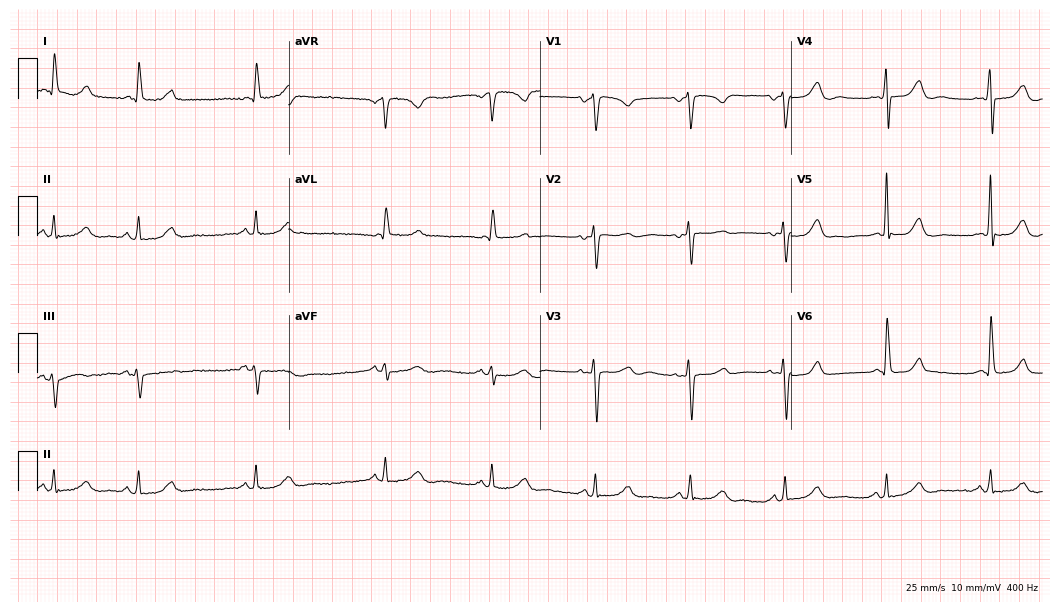
12-lead ECG (10.2-second recording at 400 Hz) from a 68-year-old female. Labelled as a normal ECG.